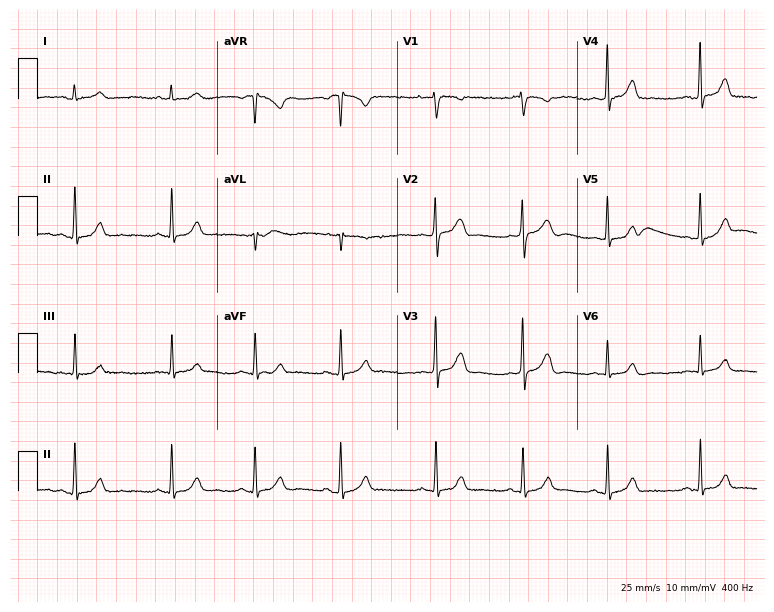
ECG — a female, 21 years old. Labelled as a normal ECG.